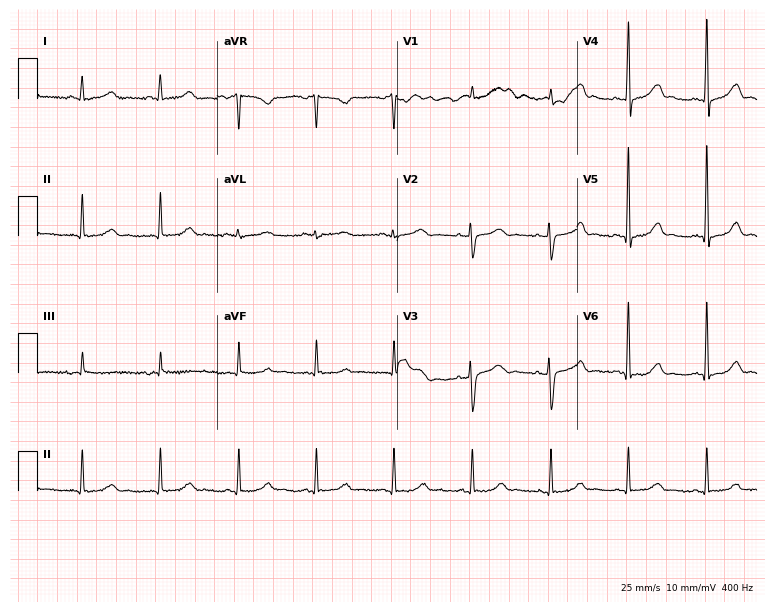
12-lead ECG from a 43-year-old woman (7.3-second recording at 400 Hz). Recorded interpretation: within normal limits.